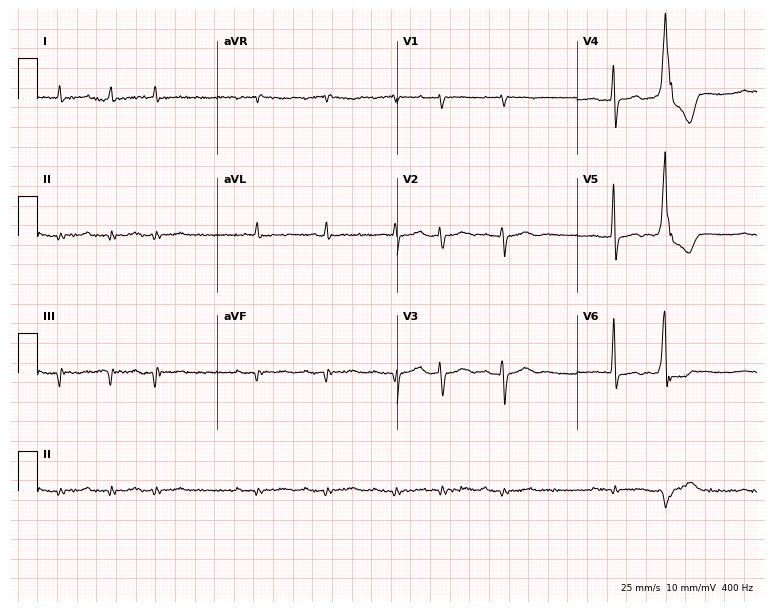
Standard 12-lead ECG recorded from an 84-year-old male. The tracing shows atrial fibrillation (AF).